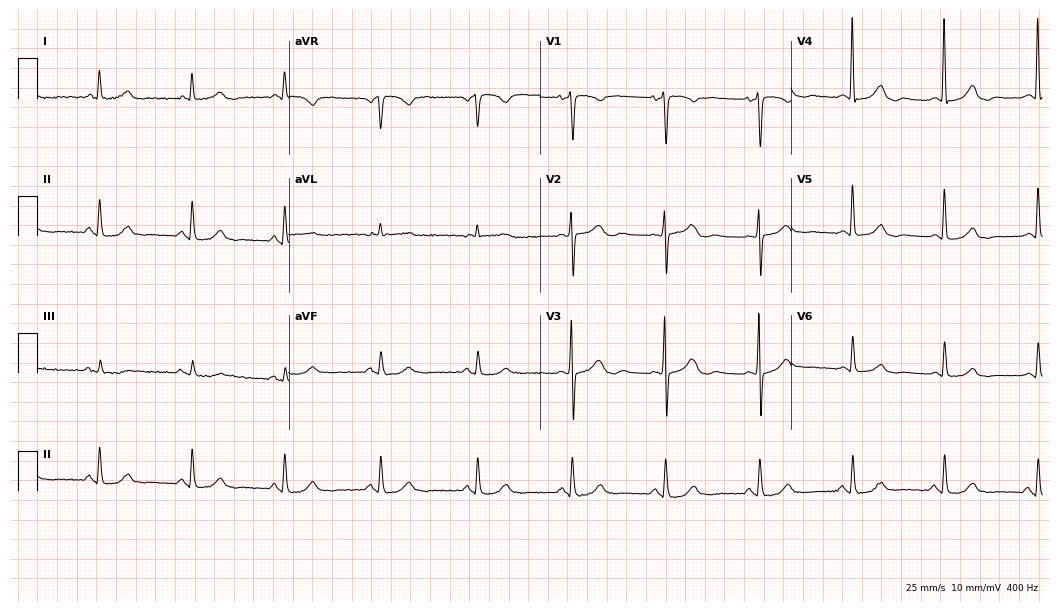
12-lead ECG from a female, 72 years old (10.2-second recording at 400 Hz). Recorded interpretation: within normal limits.